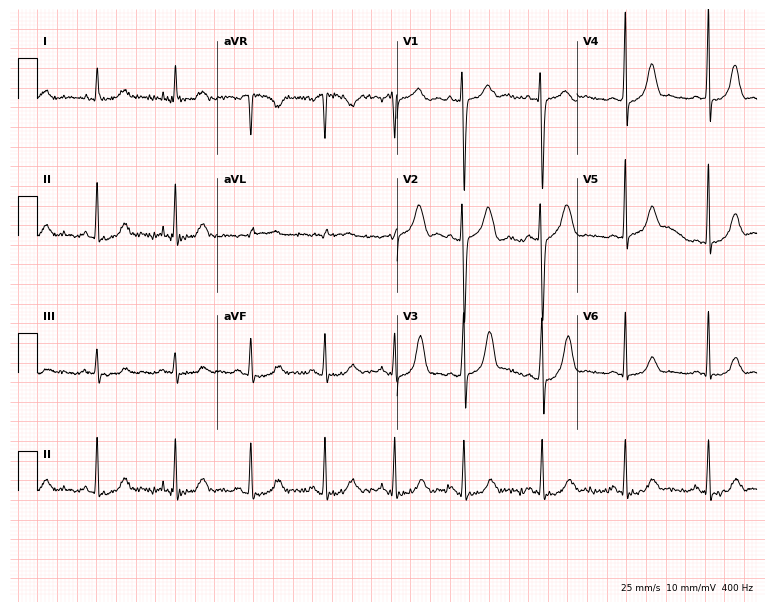
ECG (7.3-second recording at 400 Hz) — a female patient, 34 years old. Screened for six findings — first-degree AV block, right bundle branch block, left bundle branch block, sinus bradycardia, atrial fibrillation, sinus tachycardia — none is recorded. Other findings, if any, are not listed.